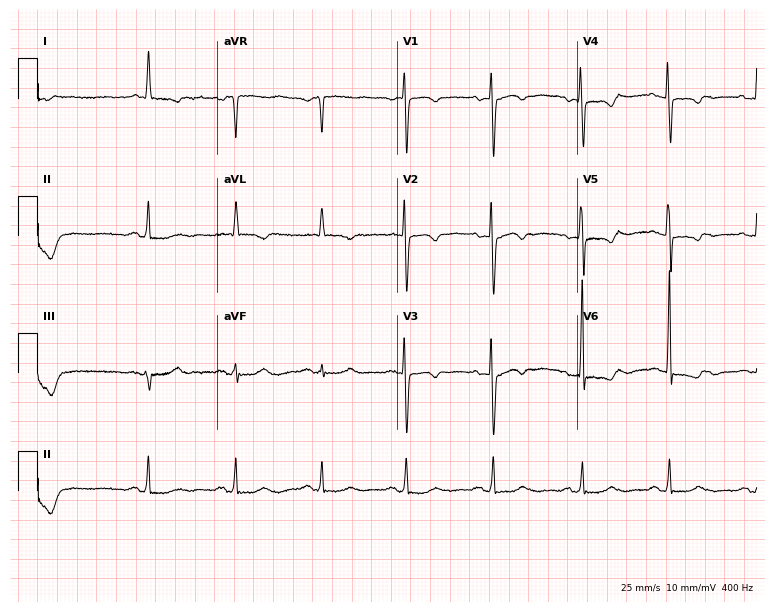
ECG (7.3-second recording at 400 Hz) — a female, 73 years old. Screened for six findings — first-degree AV block, right bundle branch block (RBBB), left bundle branch block (LBBB), sinus bradycardia, atrial fibrillation (AF), sinus tachycardia — none is recorded. Findings outside these six are not listed.